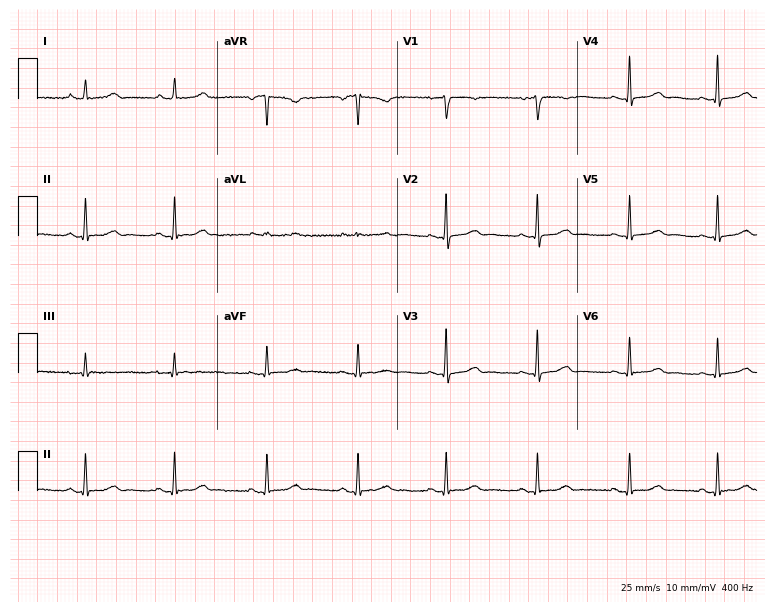
ECG (7.3-second recording at 400 Hz) — a woman, 44 years old. Screened for six findings — first-degree AV block, right bundle branch block, left bundle branch block, sinus bradycardia, atrial fibrillation, sinus tachycardia — none is recorded.